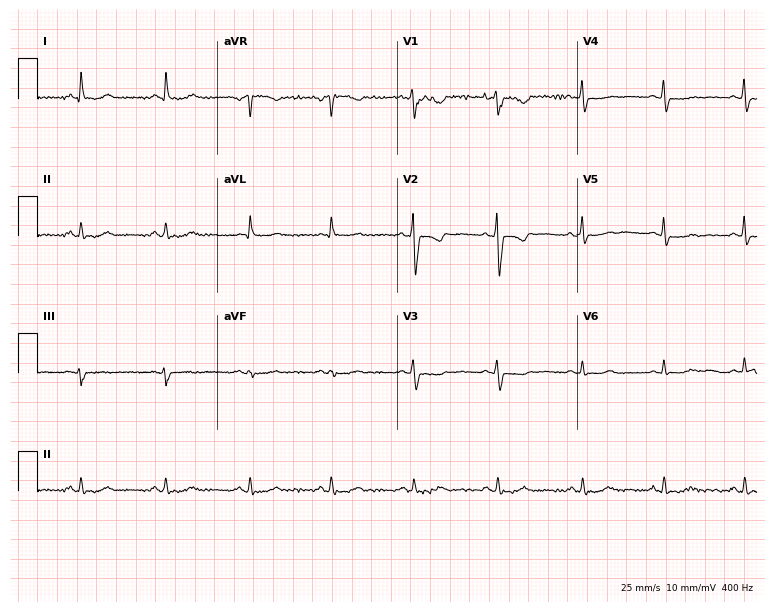
Electrocardiogram, a 47-year-old female patient. Of the six screened findings (first-degree AV block, right bundle branch block (RBBB), left bundle branch block (LBBB), sinus bradycardia, atrial fibrillation (AF), sinus tachycardia), none is recorded. Findings outside these six are not listed.